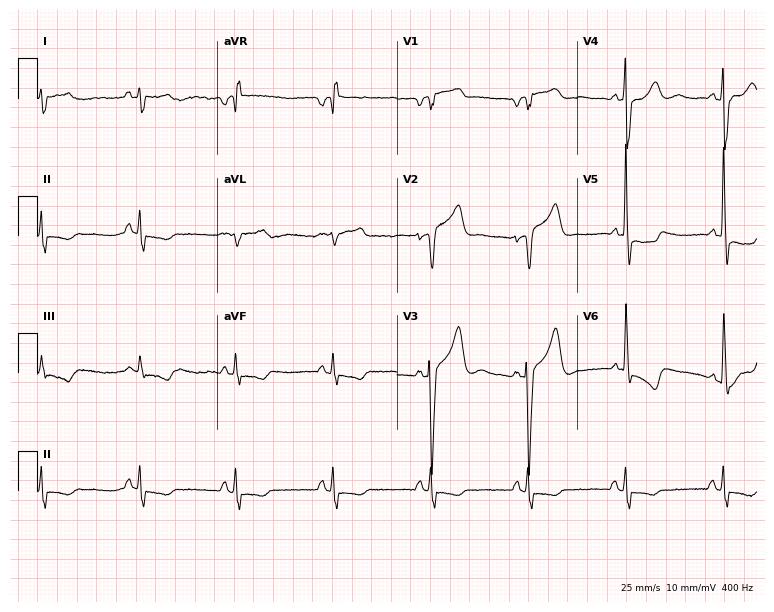
Electrocardiogram, a male patient, 64 years old. Of the six screened findings (first-degree AV block, right bundle branch block, left bundle branch block, sinus bradycardia, atrial fibrillation, sinus tachycardia), none is recorded.